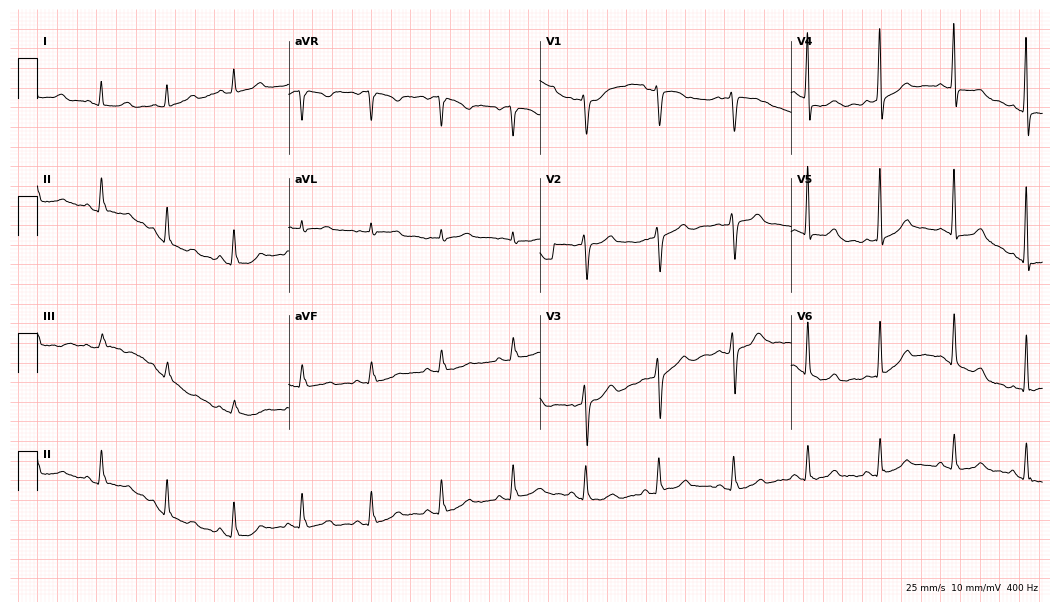
Resting 12-lead electrocardiogram (10.2-second recording at 400 Hz). Patient: a female, 58 years old. Read as a normal ECG.